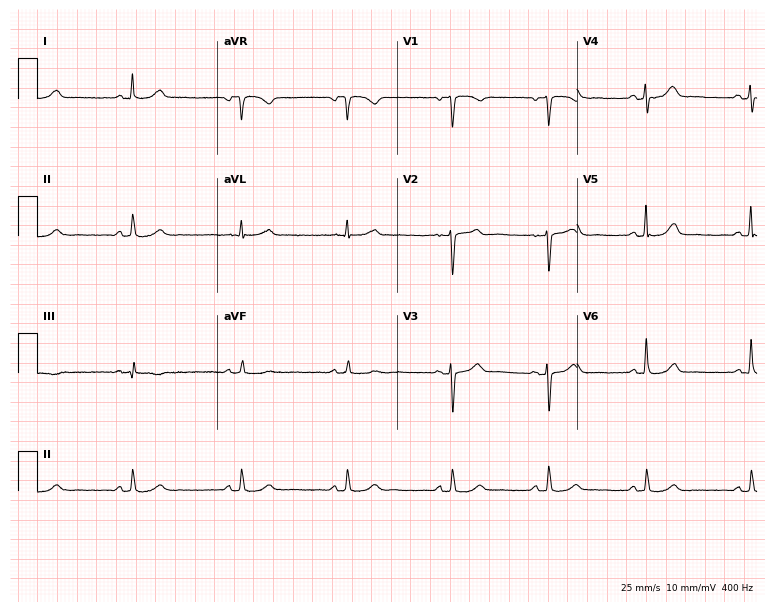
Standard 12-lead ECG recorded from a 54-year-old female patient. Read as a normal ECG.